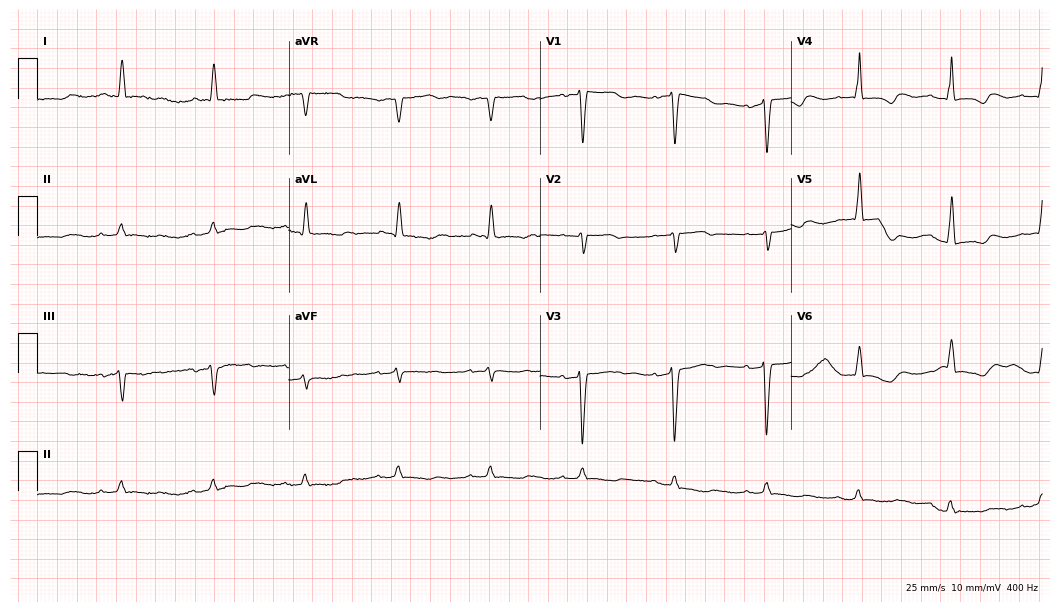
12-lead ECG from an 83-year-old female patient. No first-degree AV block, right bundle branch block (RBBB), left bundle branch block (LBBB), sinus bradycardia, atrial fibrillation (AF) or sinus tachycardia recorded for this tracing. Other findings, if any, are not listed.